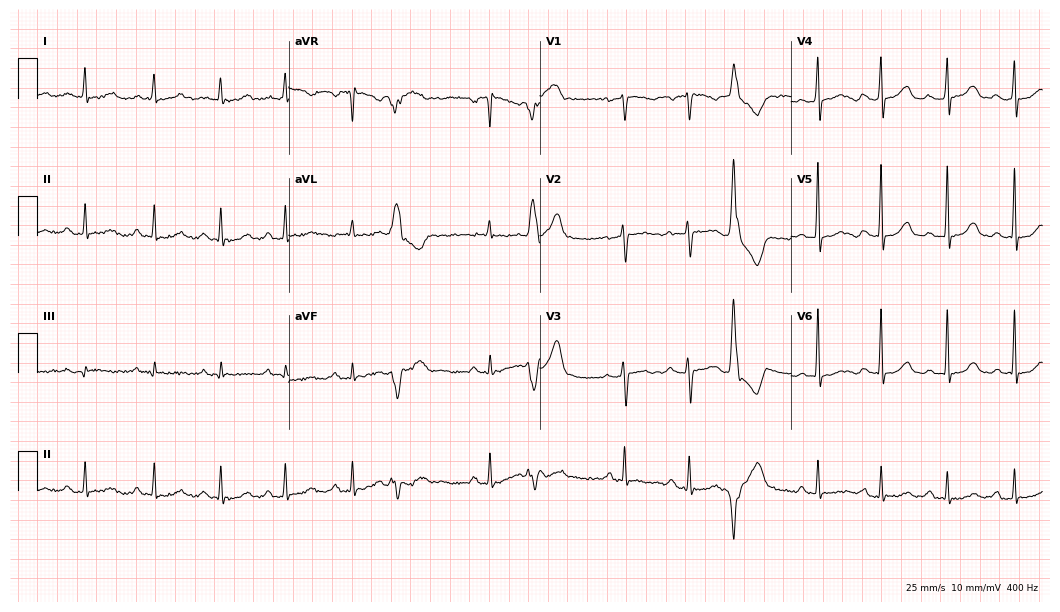
12-lead ECG from a female, 56 years old (10.2-second recording at 400 Hz). No first-degree AV block, right bundle branch block (RBBB), left bundle branch block (LBBB), sinus bradycardia, atrial fibrillation (AF) or sinus tachycardia recorded for this tracing.